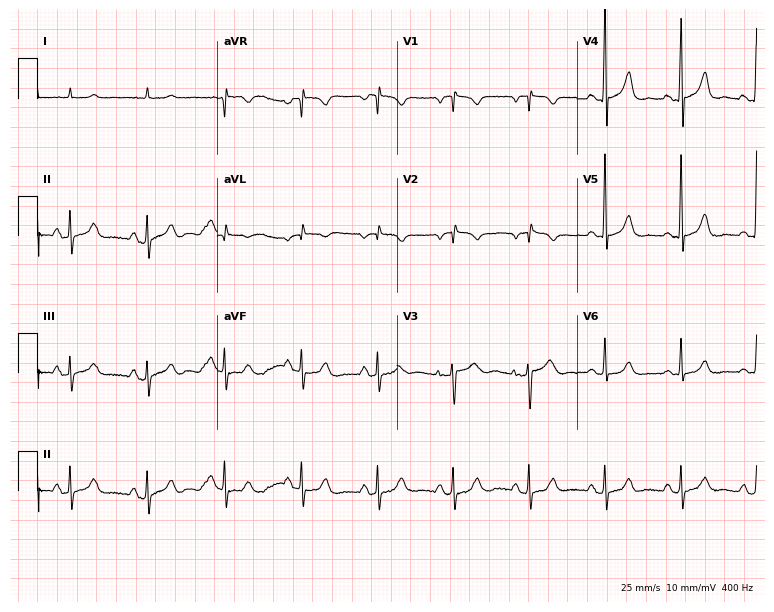
12-lead ECG (7.3-second recording at 400 Hz) from an 80-year-old male. Screened for six findings — first-degree AV block, right bundle branch block, left bundle branch block, sinus bradycardia, atrial fibrillation, sinus tachycardia — none is recorded. Only these six findings were labelled.